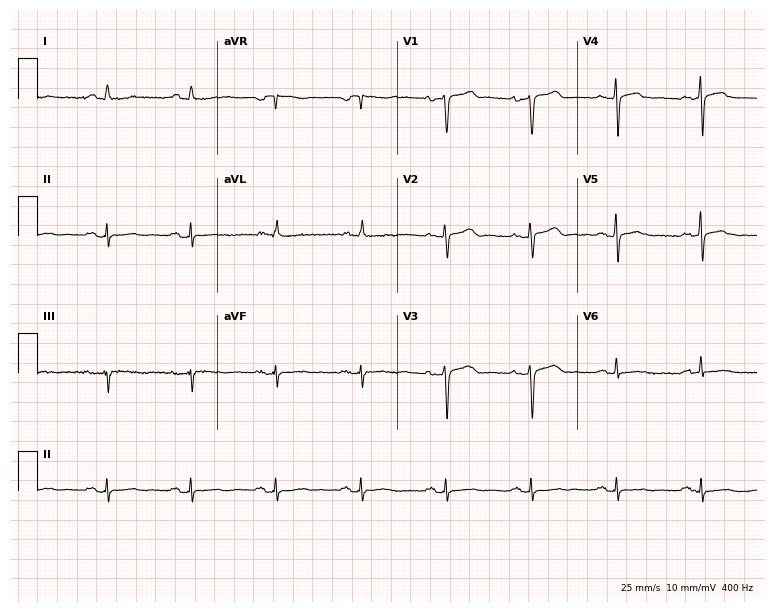
ECG (7.3-second recording at 400 Hz) — a 51-year-old female. Screened for six findings — first-degree AV block, right bundle branch block, left bundle branch block, sinus bradycardia, atrial fibrillation, sinus tachycardia — none is recorded. Findings outside these six are not listed.